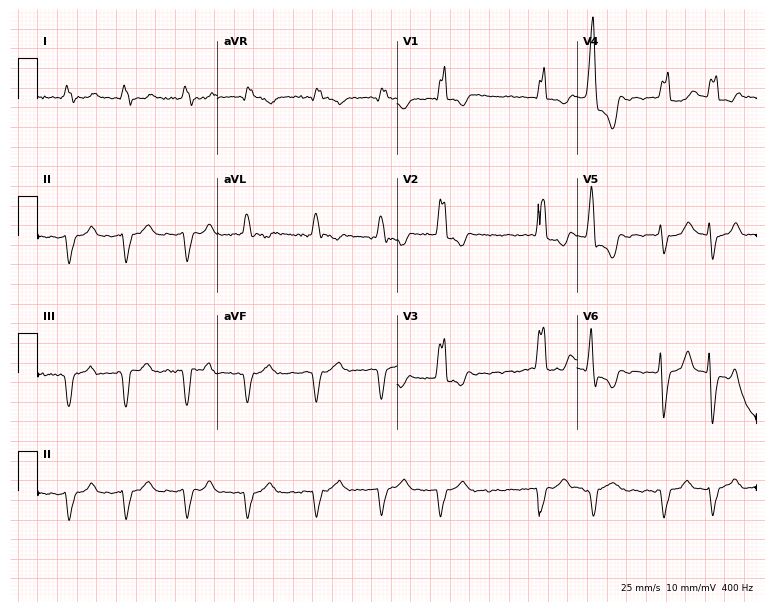
Electrocardiogram (7.3-second recording at 400 Hz), a male, 83 years old. Interpretation includes right bundle branch block, atrial fibrillation.